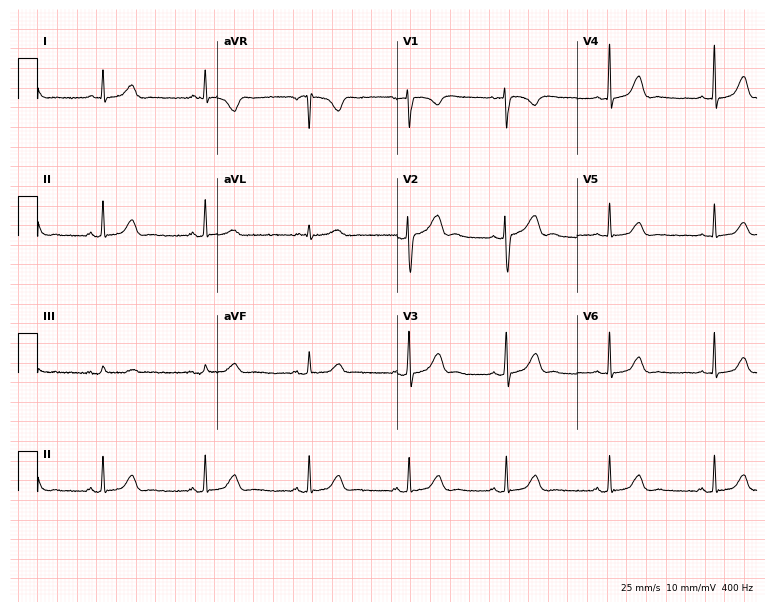
12-lead ECG (7.3-second recording at 400 Hz) from a female, 55 years old. Labelled as a normal ECG.